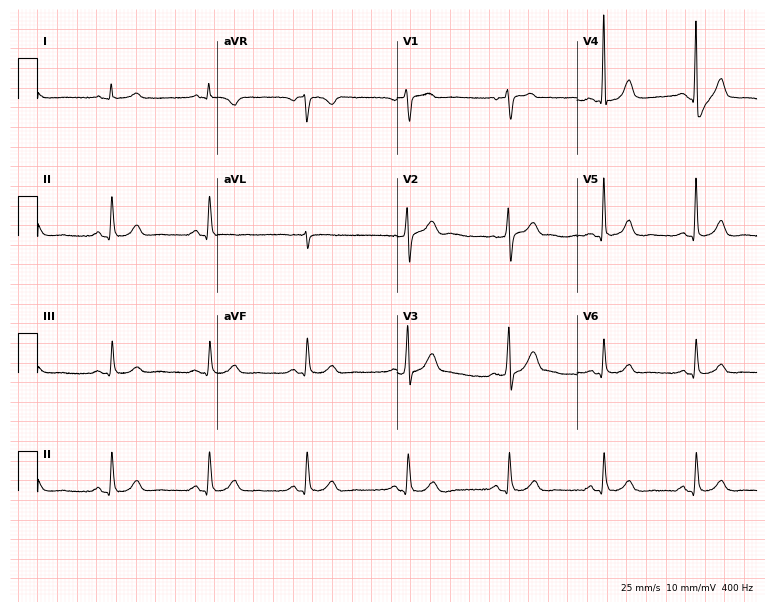
12-lead ECG from a 67-year-old male (7.3-second recording at 400 Hz). No first-degree AV block, right bundle branch block (RBBB), left bundle branch block (LBBB), sinus bradycardia, atrial fibrillation (AF) or sinus tachycardia recorded for this tracing. Only these six findings were labelled.